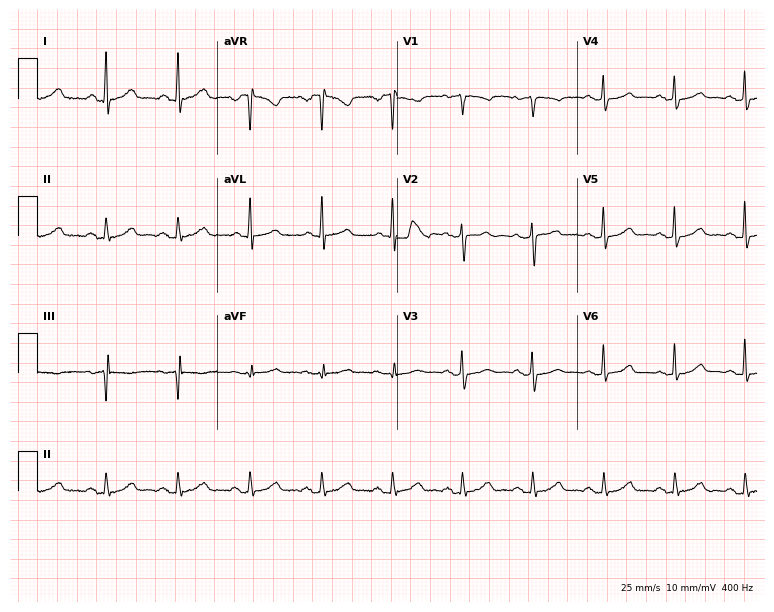
Standard 12-lead ECG recorded from a 54-year-old female (7.3-second recording at 400 Hz). Read as a normal ECG.